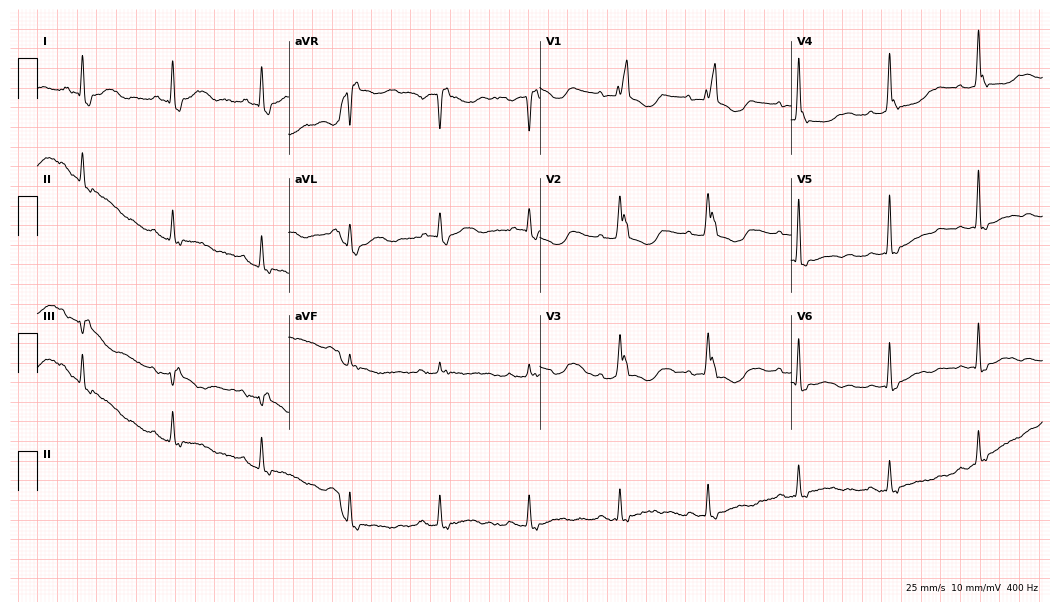
Electrocardiogram (10.2-second recording at 400 Hz), a 72-year-old woman. Interpretation includes right bundle branch block (RBBB).